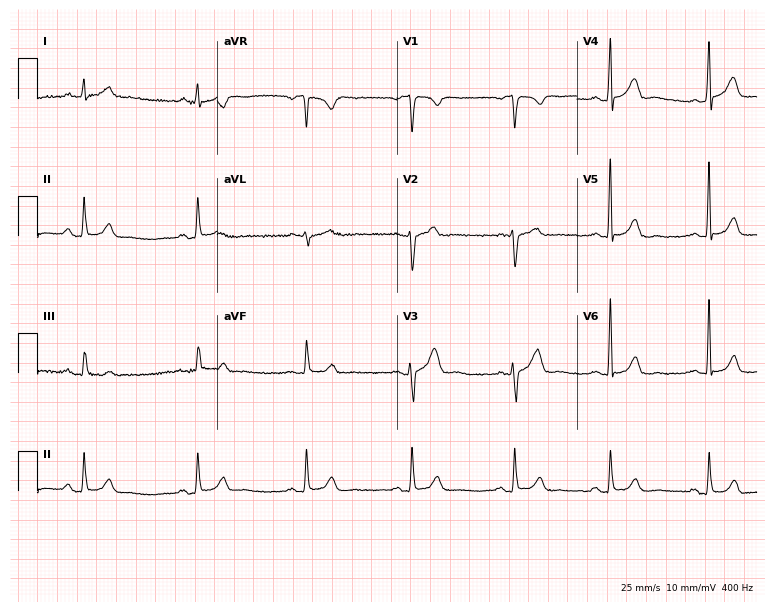
Standard 12-lead ECG recorded from a male patient, 36 years old (7.3-second recording at 400 Hz). None of these six findings is recorded: first-degree AV block, right bundle branch block, left bundle branch block, sinus bradycardia, atrial fibrillation, sinus tachycardia. Only these six findings were labelled.